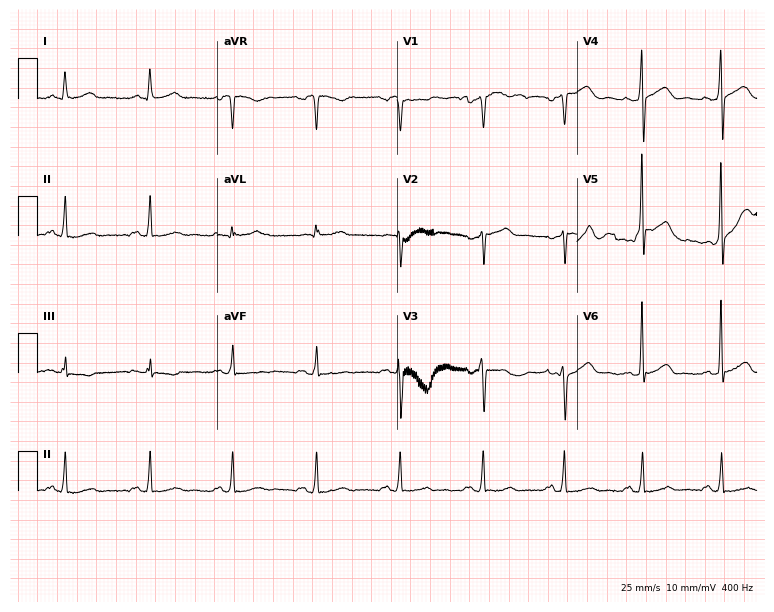
12-lead ECG from a male, 60 years old (7.3-second recording at 400 Hz). Recorded interpretation: within normal limits.